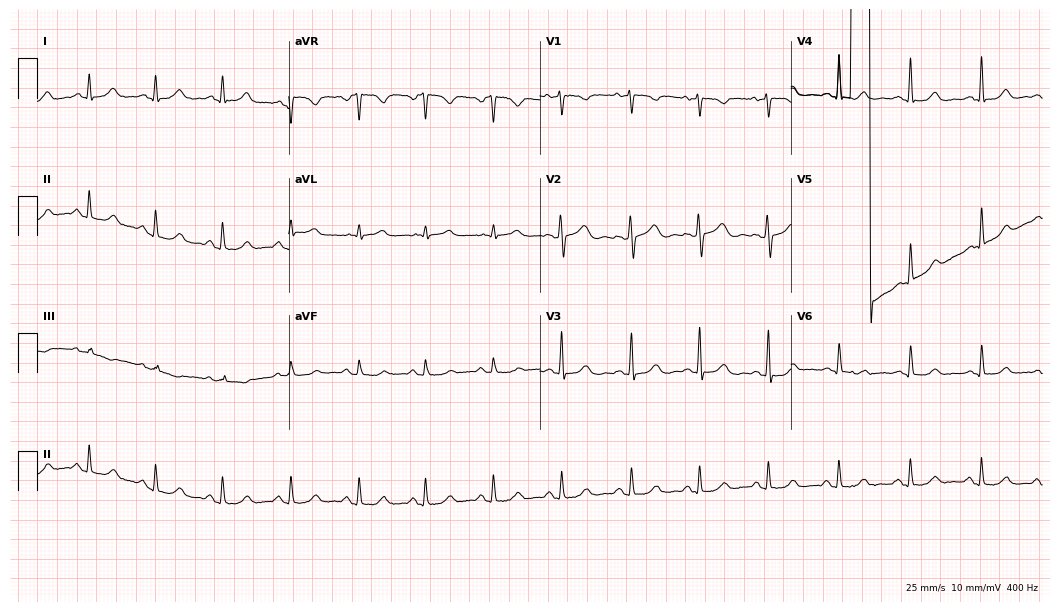
Electrocardiogram, a woman, 44 years old. Of the six screened findings (first-degree AV block, right bundle branch block, left bundle branch block, sinus bradycardia, atrial fibrillation, sinus tachycardia), none is recorded.